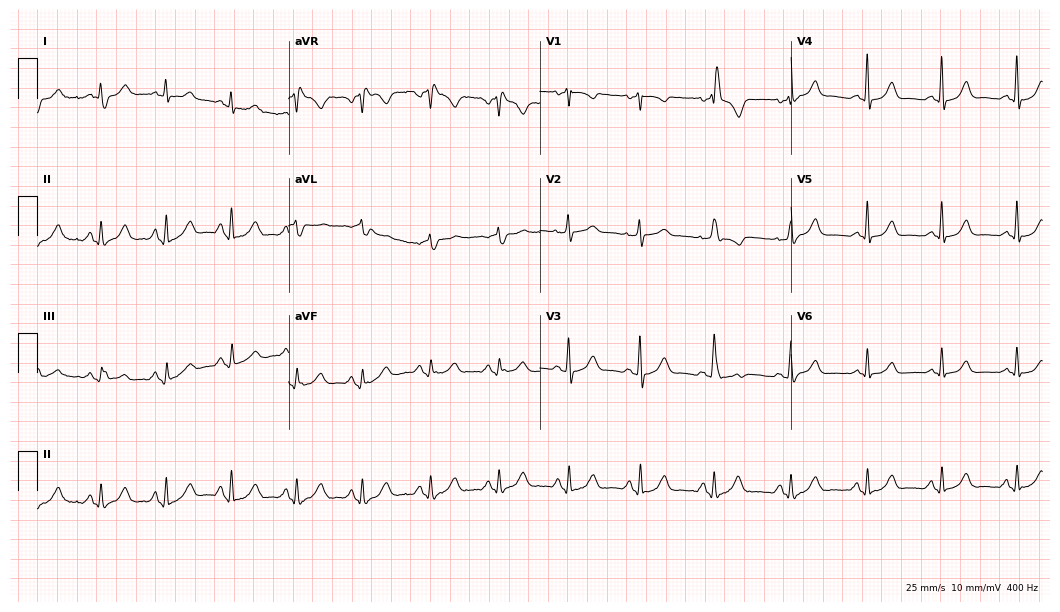
ECG — a woman, 65 years old. Screened for six findings — first-degree AV block, right bundle branch block, left bundle branch block, sinus bradycardia, atrial fibrillation, sinus tachycardia — none is recorded. Findings outside these six are not listed.